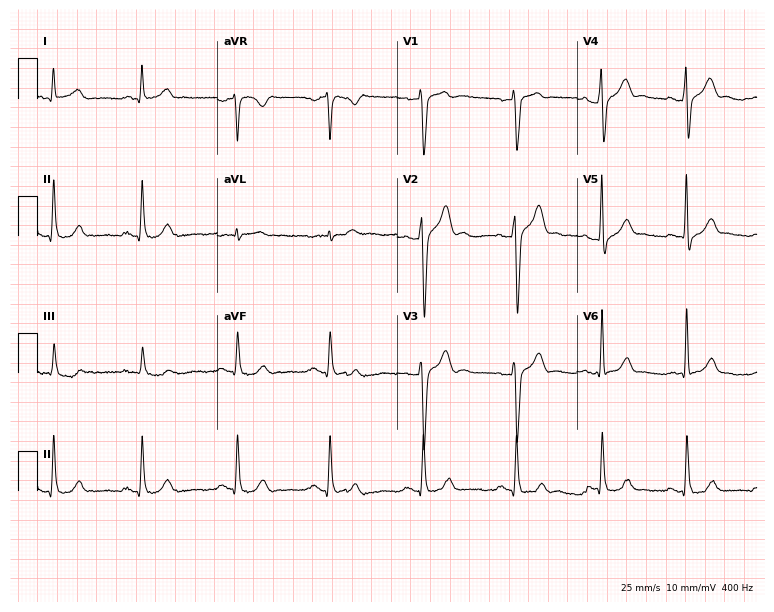
Electrocardiogram (7.3-second recording at 400 Hz), a man, 37 years old. Overall reading on record: normal ECG.